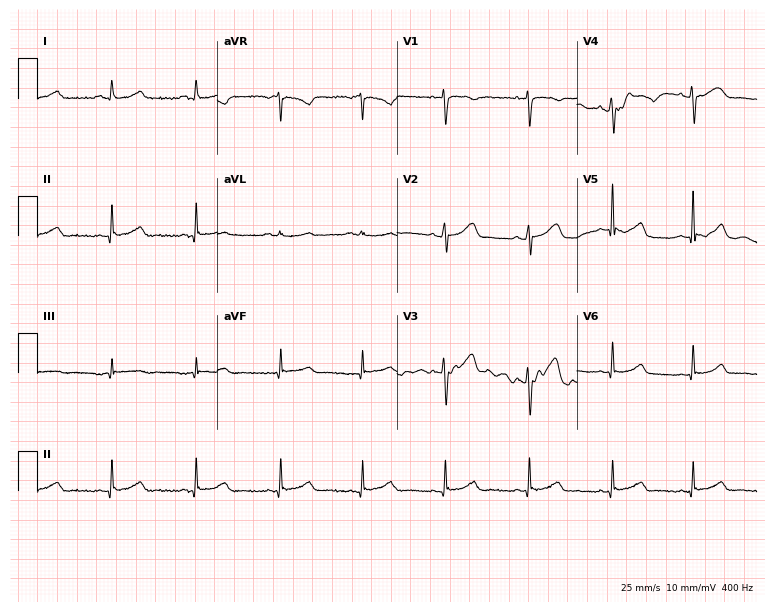
12-lead ECG from a 49-year-old woman. Screened for six findings — first-degree AV block, right bundle branch block, left bundle branch block, sinus bradycardia, atrial fibrillation, sinus tachycardia — none is recorded.